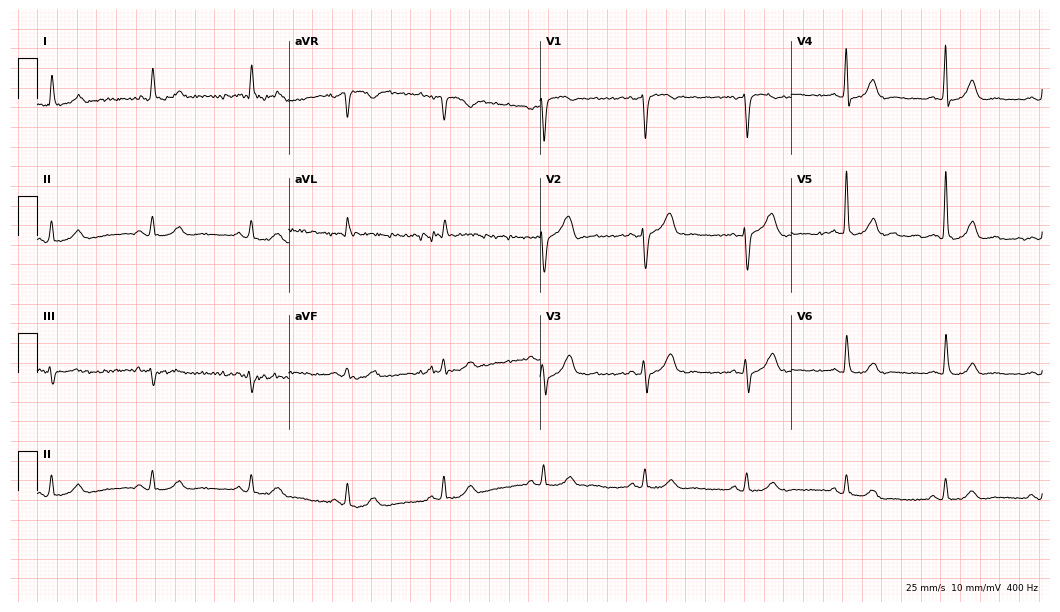
Standard 12-lead ECG recorded from a female patient, 65 years old (10.2-second recording at 400 Hz). Read as a normal ECG.